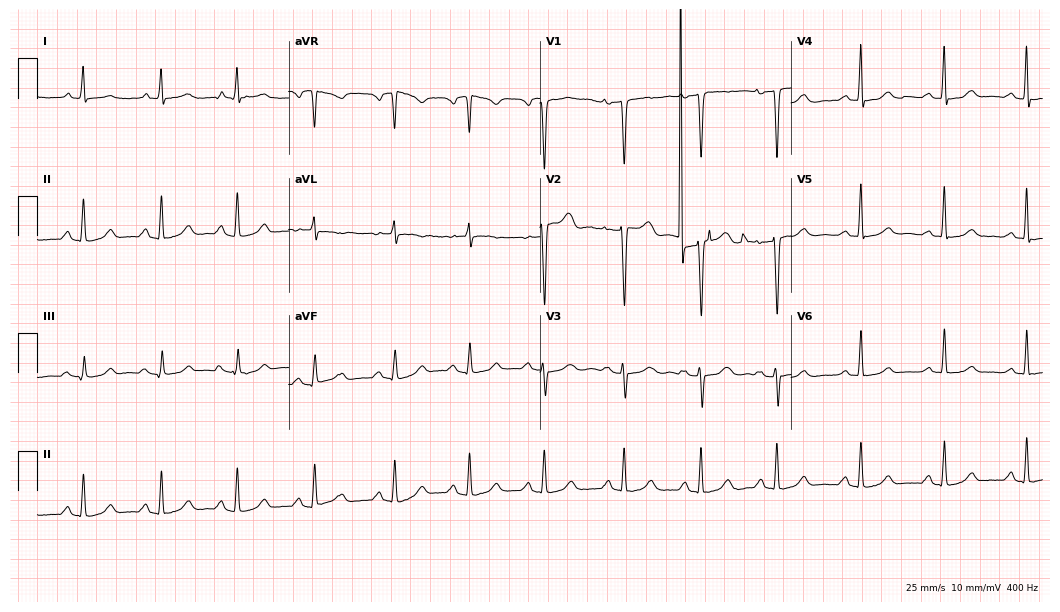
Standard 12-lead ECG recorded from a woman, 66 years old (10.2-second recording at 400 Hz). Read as a normal ECG.